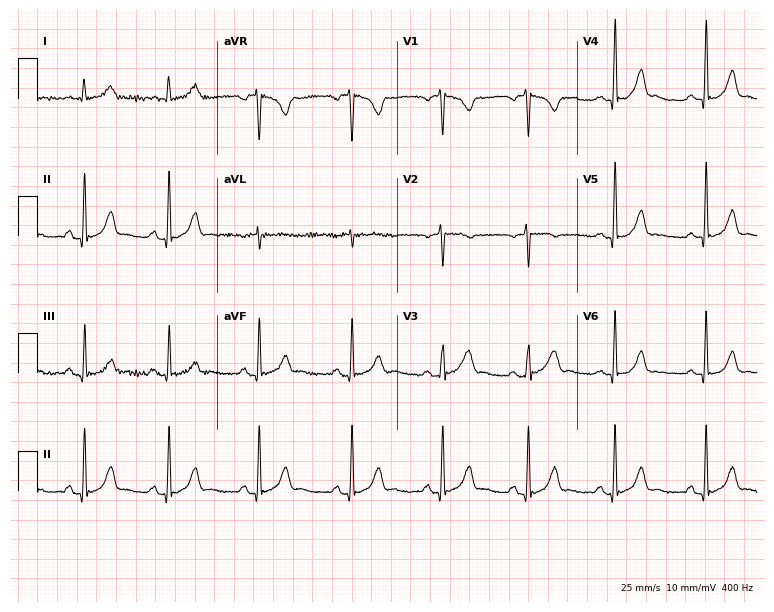
Standard 12-lead ECG recorded from a female, 32 years old (7.3-second recording at 400 Hz). Read as a normal ECG.